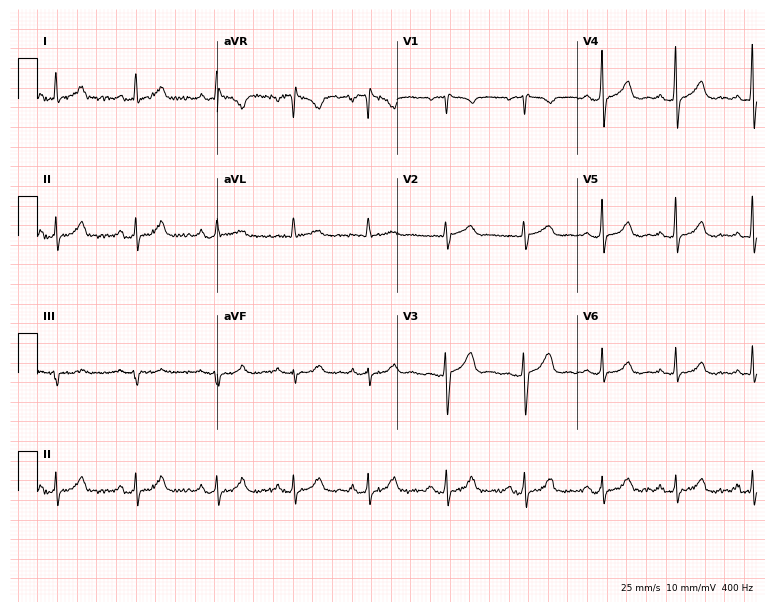
Standard 12-lead ECG recorded from a 49-year-old female patient (7.3-second recording at 400 Hz). None of these six findings is recorded: first-degree AV block, right bundle branch block, left bundle branch block, sinus bradycardia, atrial fibrillation, sinus tachycardia.